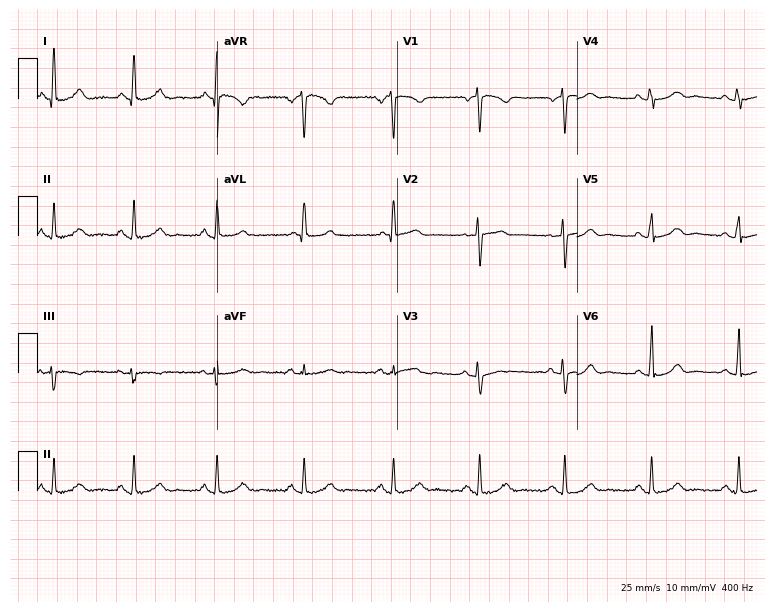
ECG — a 49-year-old woman. Labelled as a normal ECG.